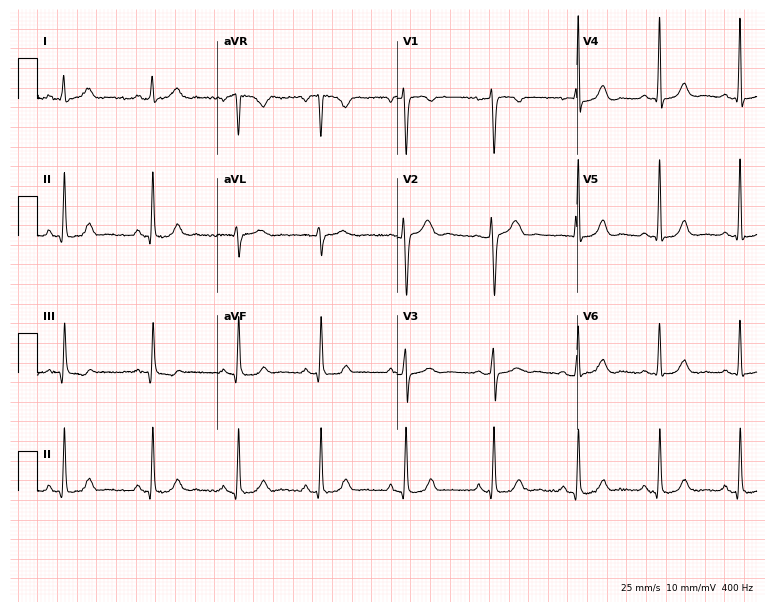
ECG (7.3-second recording at 400 Hz) — a woman, 38 years old. Labelled as a normal ECG.